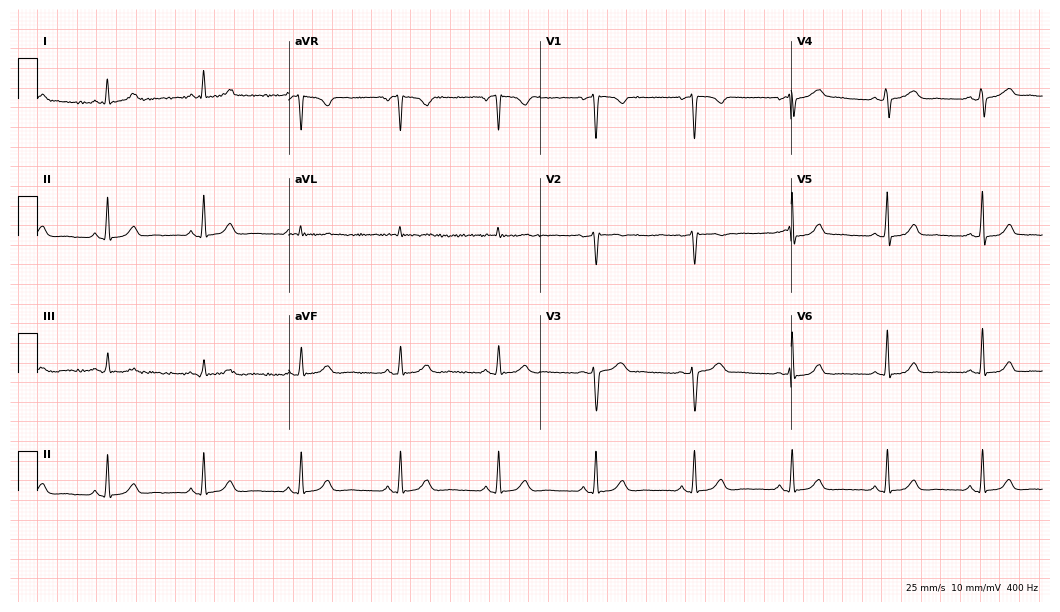
Standard 12-lead ECG recorded from a female patient, 42 years old (10.2-second recording at 400 Hz). Read as a normal ECG.